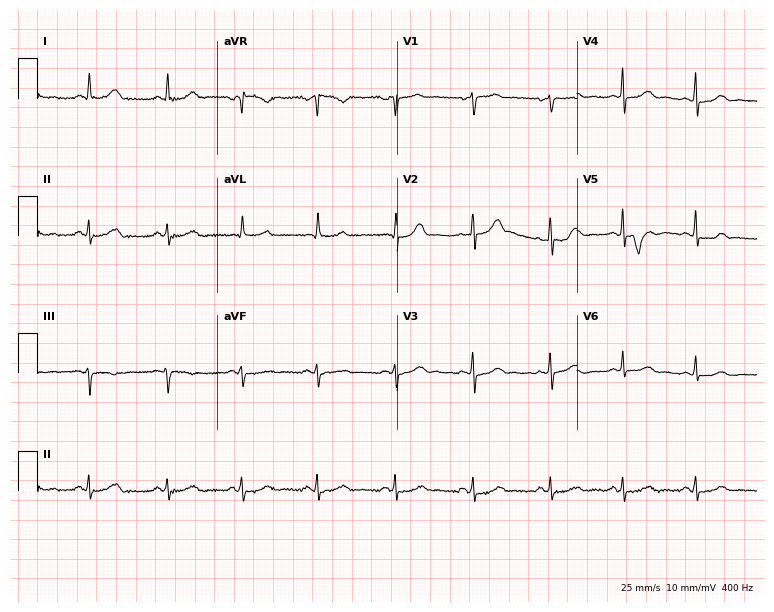
Electrocardiogram, a female patient, 51 years old. Of the six screened findings (first-degree AV block, right bundle branch block, left bundle branch block, sinus bradycardia, atrial fibrillation, sinus tachycardia), none is recorded.